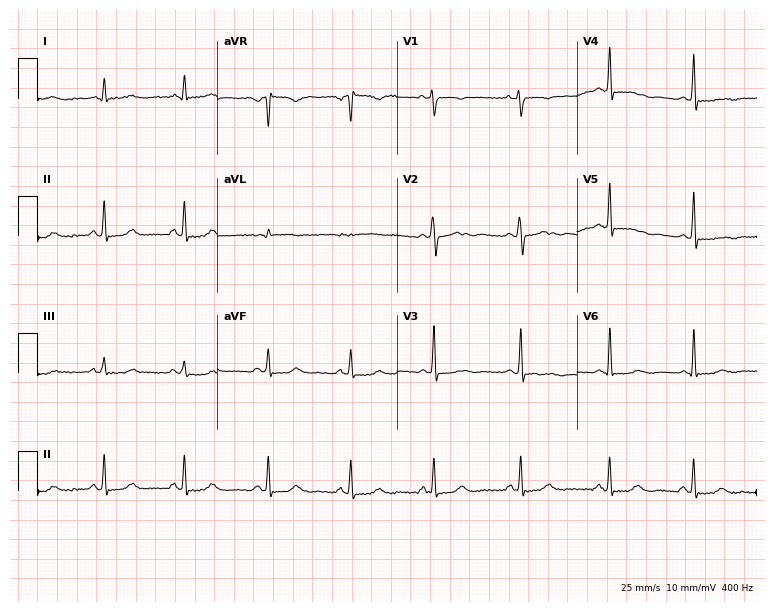
Resting 12-lead electrocardiogram (7.3-second recording at 400 Hz). Patient: a 38-year-old woman. None of these six findings is recorded: first-degree AV block, right bundle branch block, left bundle branch block, sinus bradycardia, atrial fibrillation, sinus tachycardia. Other findings, if any, are not listed.